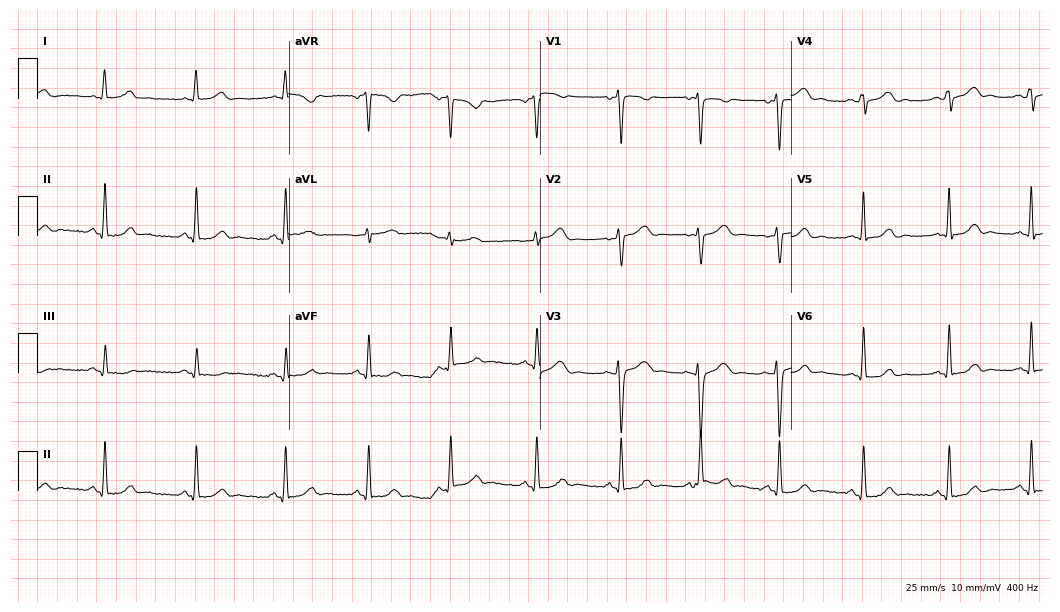
12-lead ECG from a woman, 29 years old (10.2-second recording at 400 Hz). Recorded interpretation: within normal limits.